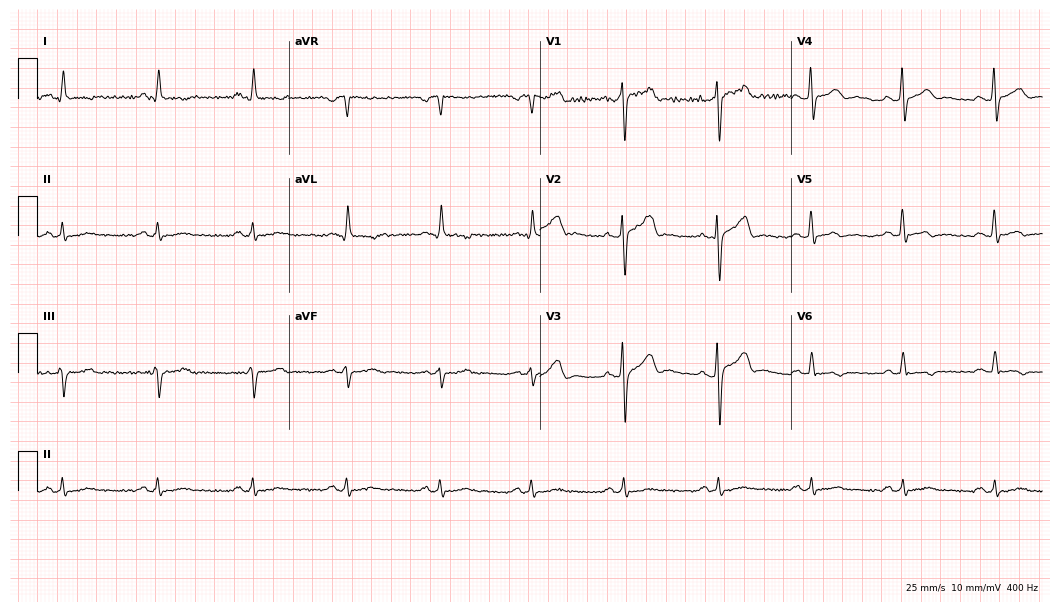
ECG — a 53-year-old male. Screened for six findings — first-degree AV block, right bundle branch block (RBBB), left bundle branch block (LBBB), sinus bradycardia, atrial fibrillation (AF), sinus tachycardia — none is recorded. Only these six findings were labelled.